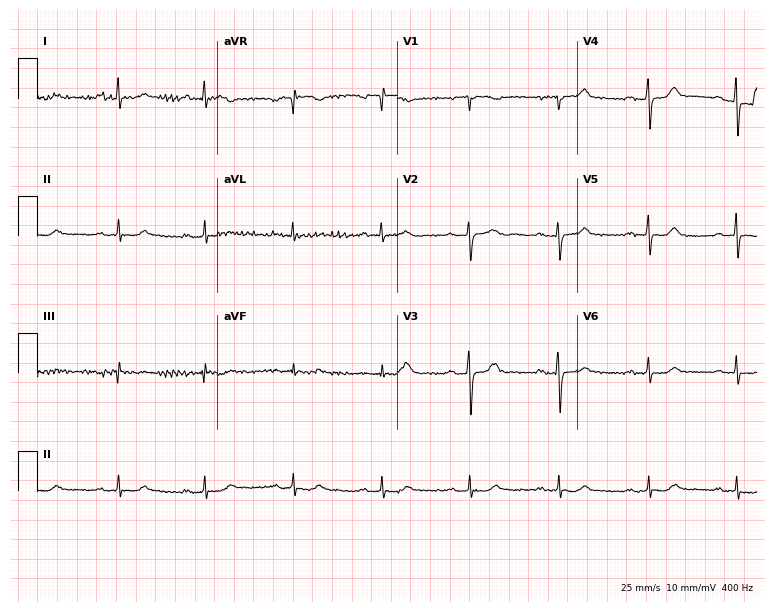
12-lead ECG from a 72-year-old female. No first-degree AV block, right bundle branch block, left bundle branch block, sinus bradycardia, atrial fibrillation or sinus tachycardia recorded for this tracing. Other findings, if any, are not listed.